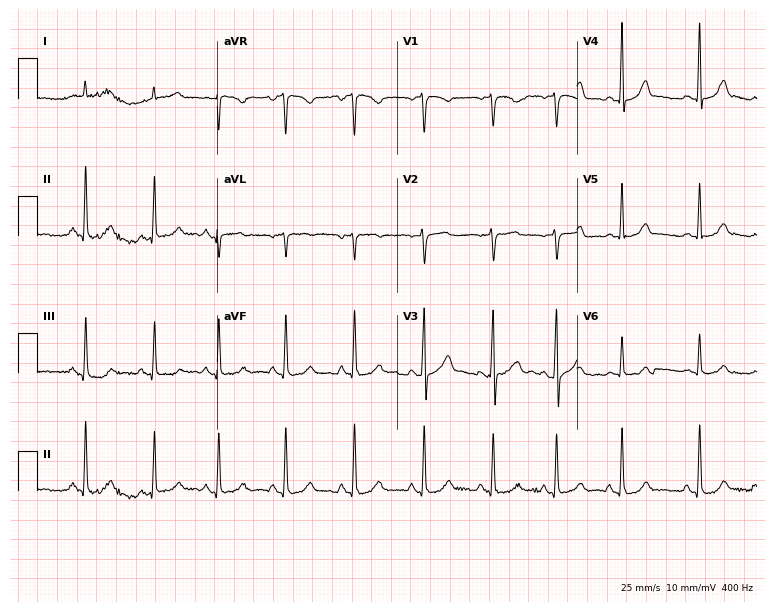
12-lead ECG from a 38-year-old female patient. Recorded interpretation: within normal limits.